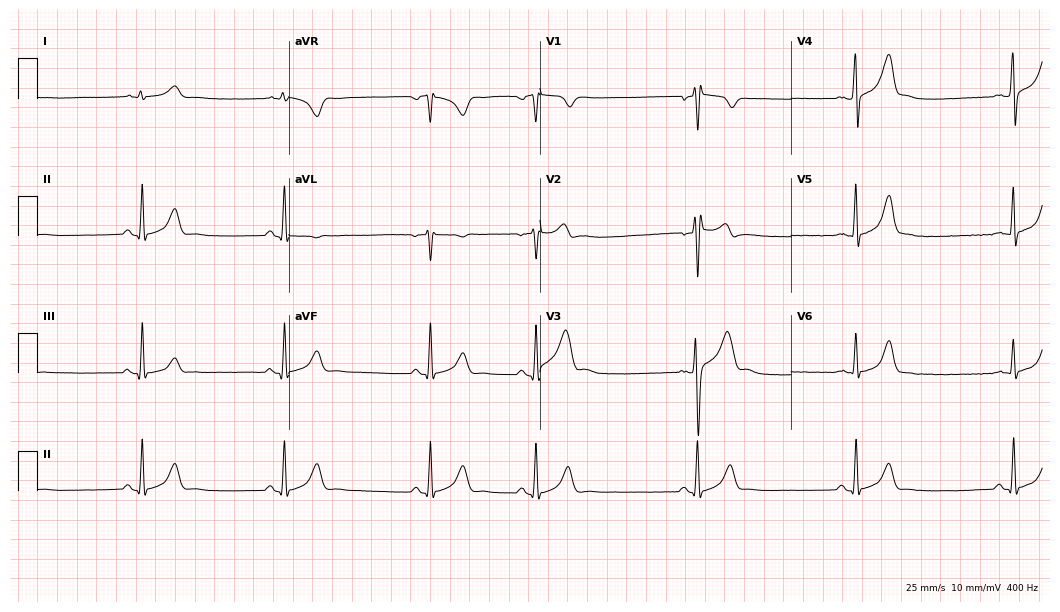
Standard 12-lead ECG recorded from a 35-year-old male. The tracing shows sinus bradycardia (a sinus rate of 50 beats per minute or less).